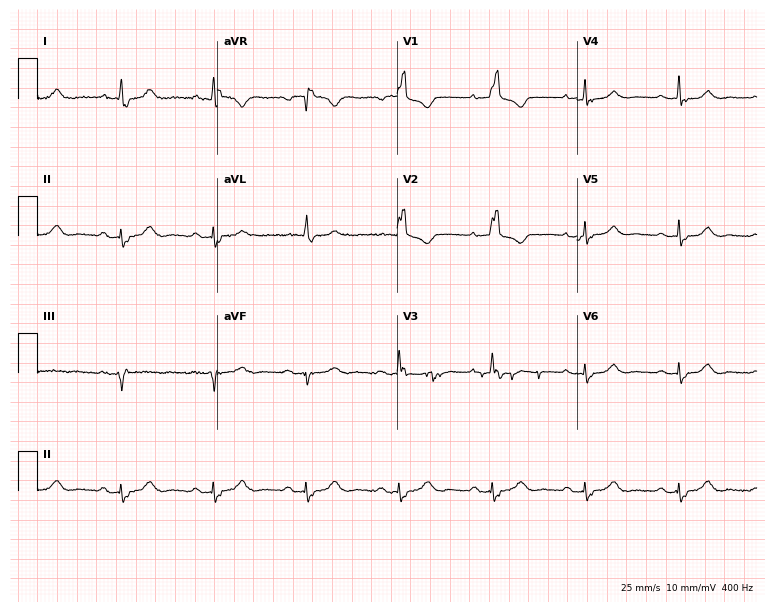
Electrocardiogram, a female, 74 years old. Interpretation includes right bundle branch block.